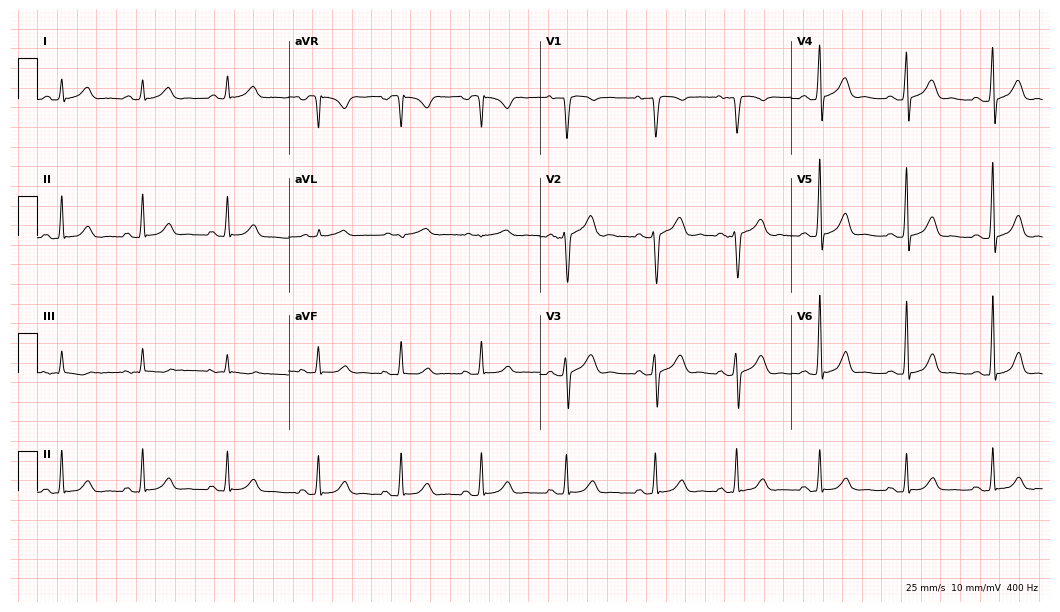
ECG — a 50-year-old man. Labelled as a normal ECG.